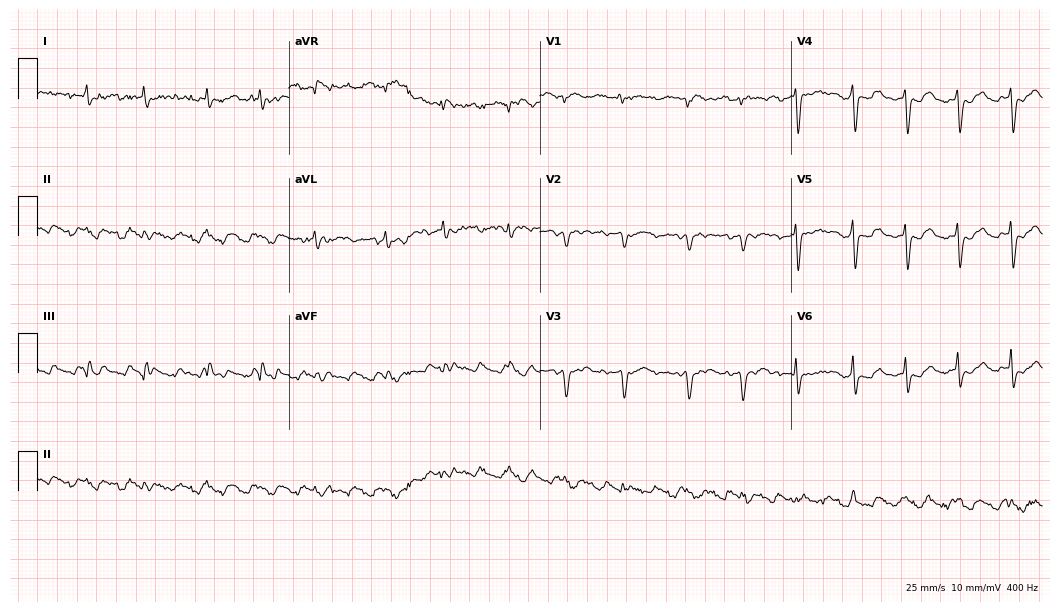
Electrocardiogram (10.2-second recording at 400 Hz), a male patient, 73 years old. Of the six screened findings (first-degree AV block, right bundle branch block (RBBB), left bundle branch block (LBBB), sinus bradycardia, atrial fibrillation (AF), sinus tachycardia), none is recorded. Only these six findings were labelled.